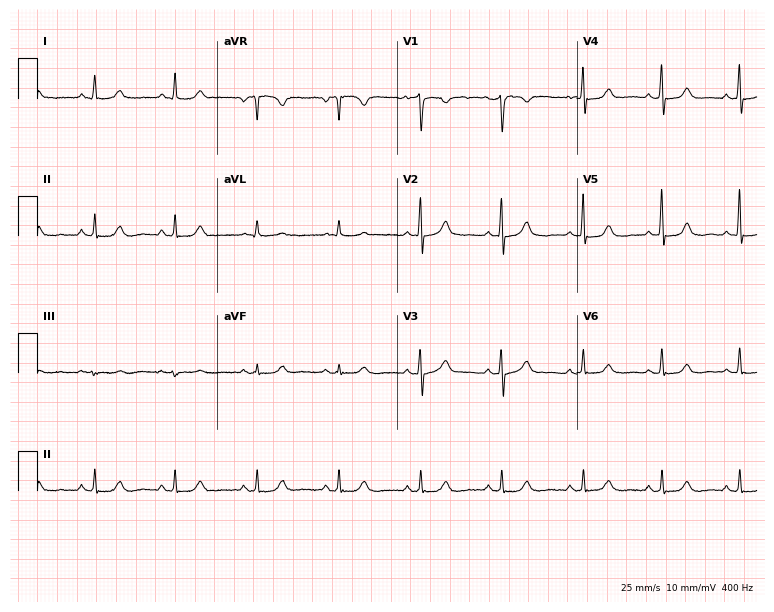
12-lead ECG from a woman, 58 years old. Labelled as a normal ECG.